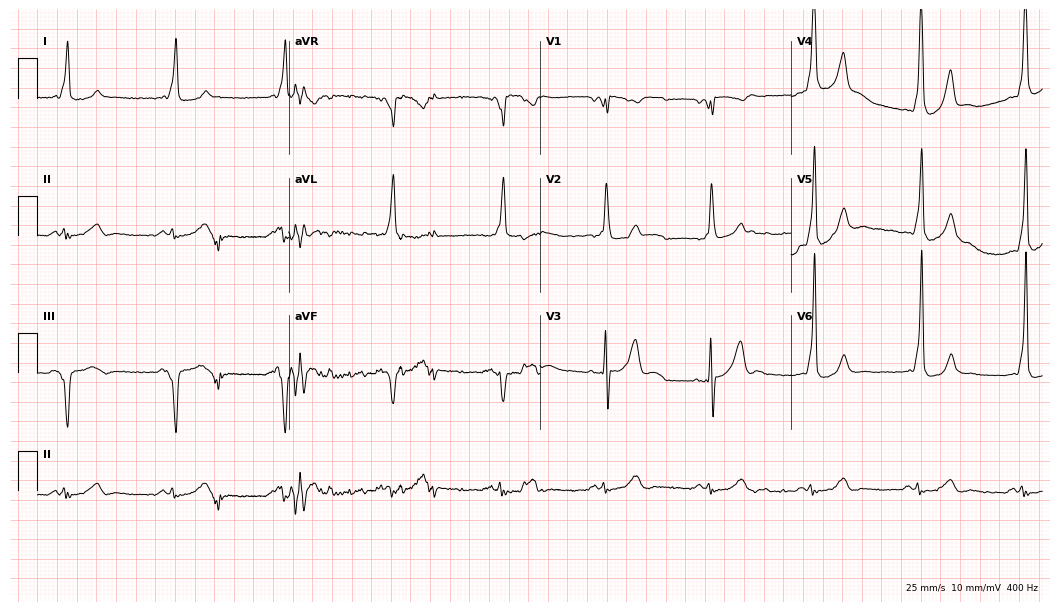
Standard 12-lead ECG recorded from a 55-year-old male patient (10.2-second recording at 400 Hz). None of these six findings is recorded: first-degree AV block, right bundle branch block (RBBB), left bundle branch block (LBBB), sinus bradycardia, atrial fibrillation (AF), sinus tachycardia. Findings outside these six are not listed.